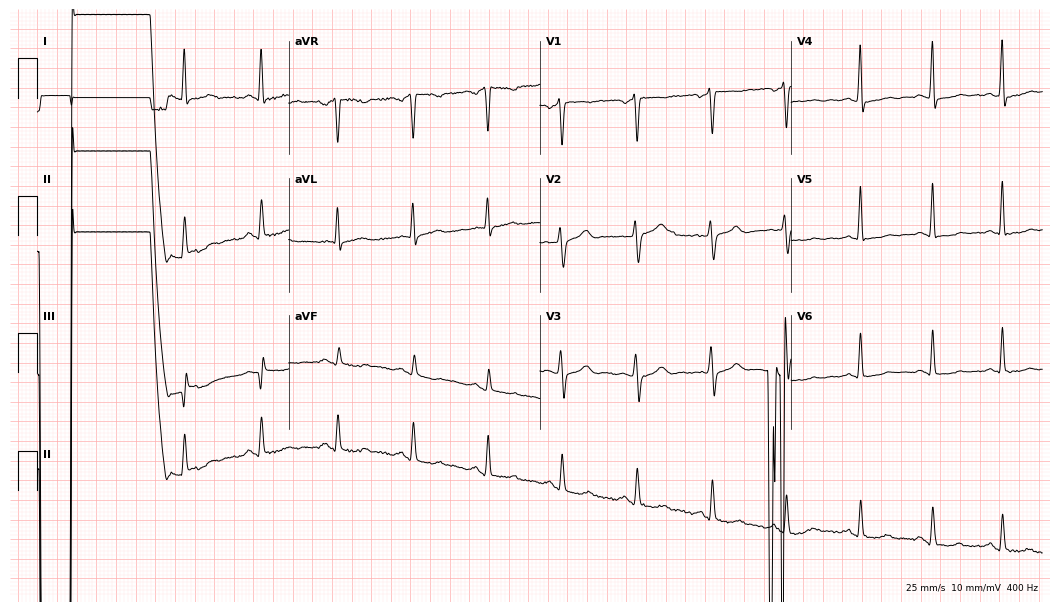
ECG (10.2-second recording at 400 Hz) — a man, 53 years old. Labelled as a normal ECG.